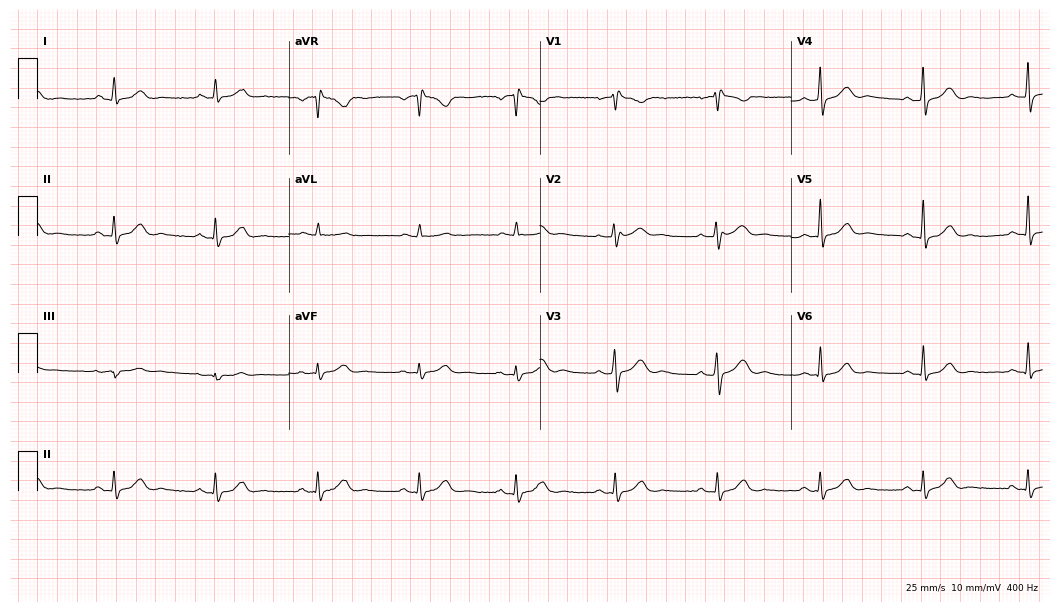
Resting 12-lead electrocardiogram (10.2-second recording at 400 Hz). Patient: a male, 62 years old. None of these six findings is recorded: first-degree AV block, right bundle branch block, left bundle branch block, sinus bradycardia, atrial fibrillation, sinus tachycardia. Findings outside these six are not listed.